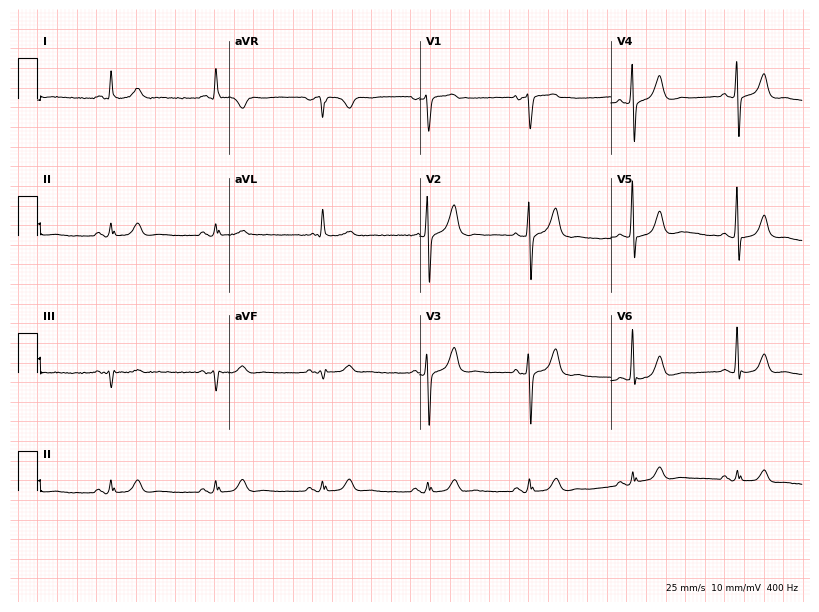
12-lead ECG from an 85-year-old male (7.8-second recording at 400 Hz). No first-degree AV block, right bundle branch block, left bundle branch block, sinus bradycardia, atrial fibrillation or sinus tachycardia recorded for this tracing.